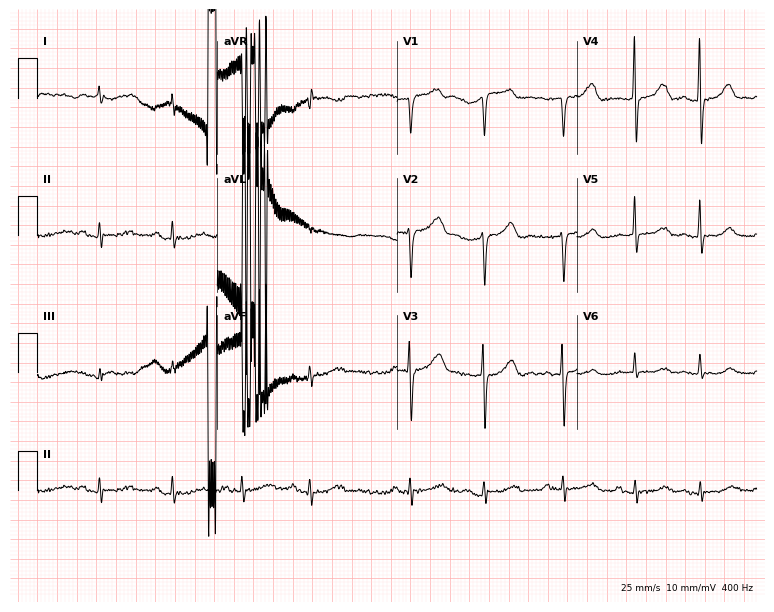
Electrocardiogram, an 81-year-old male. Overall reading on record: normal ECG.